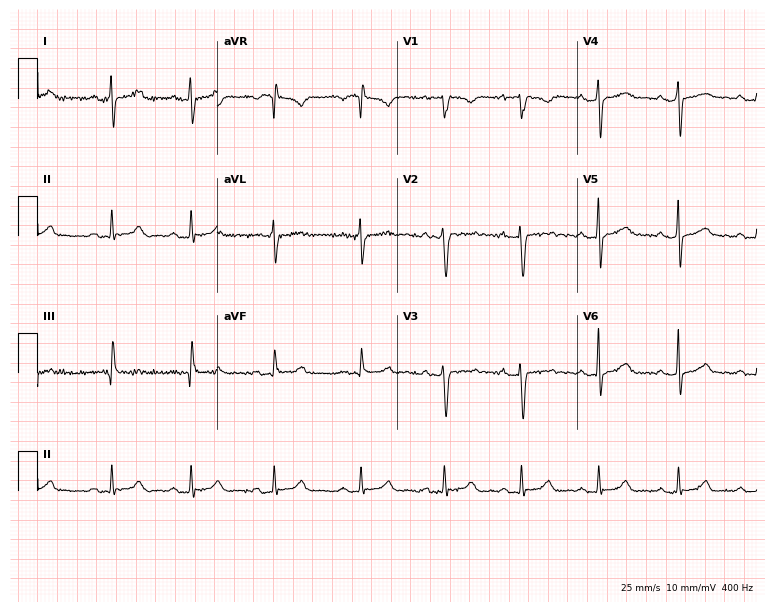
12-lead ECG from a female, 27 years old (7.3-second recording at 400 Hz). Recorded interpretation: within normal limits.